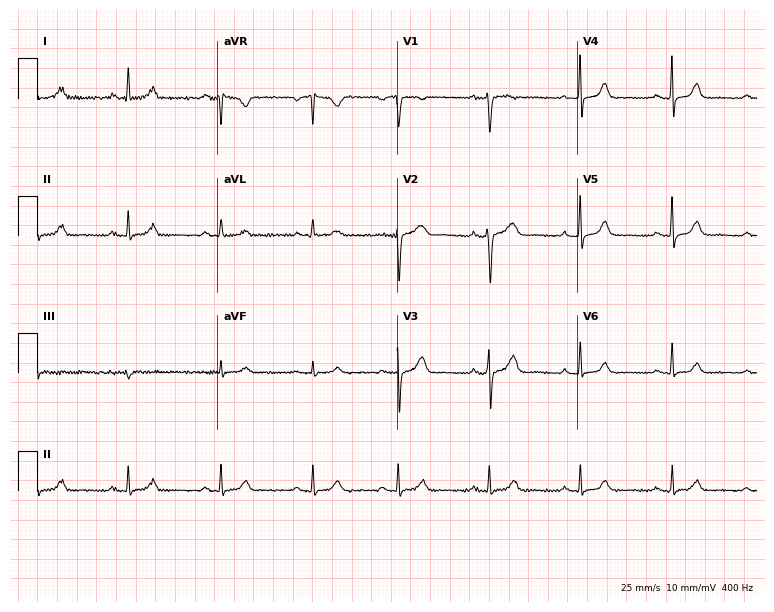
ECG — a female patient, 47 years old. Labelled as a normal ECG.